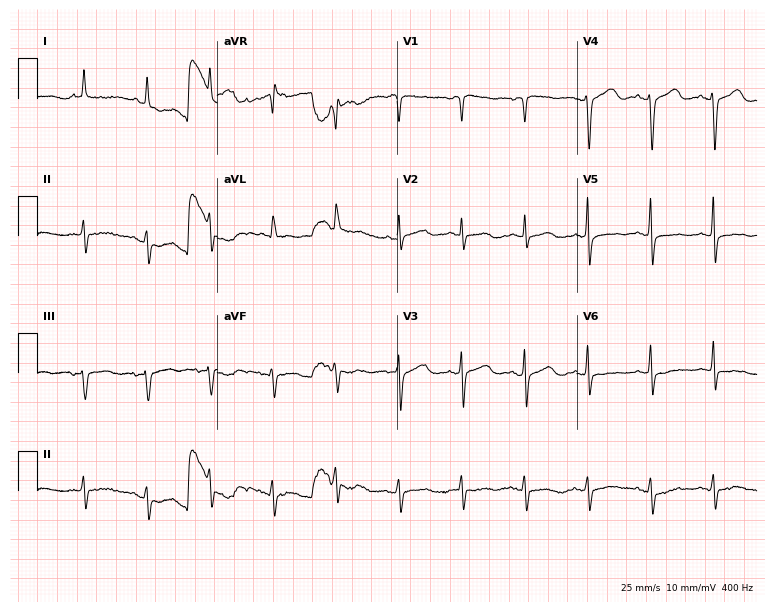
12-lead ECG from a woman, 79 years old. No first-degree AV block, right bundle branch block (RBBB), left bundle branch block (LBBB), sinus bradycardia, atrial fibrillation (AF) or sinus tachycardia recorded for this tracing.